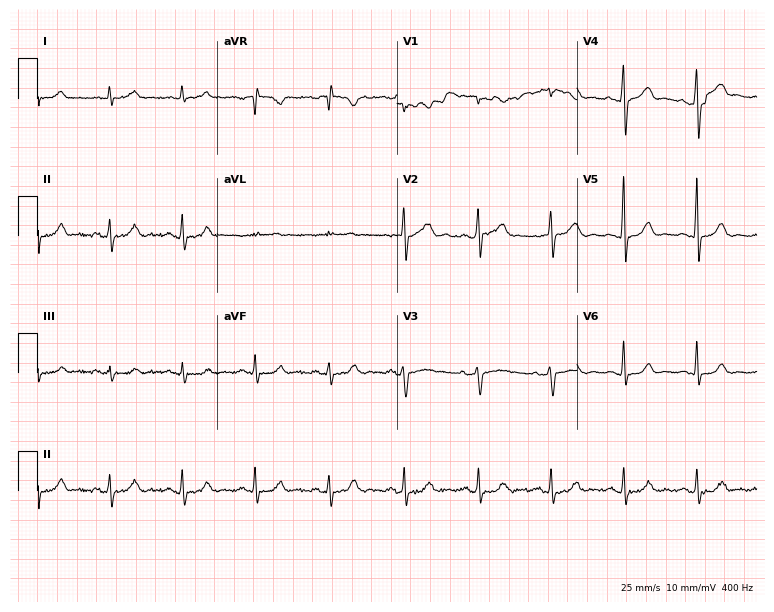
12-lead ECG from a man, 51 years old (7.3-second recording at 400 Hz). Recorded interpretation: within normal limits.